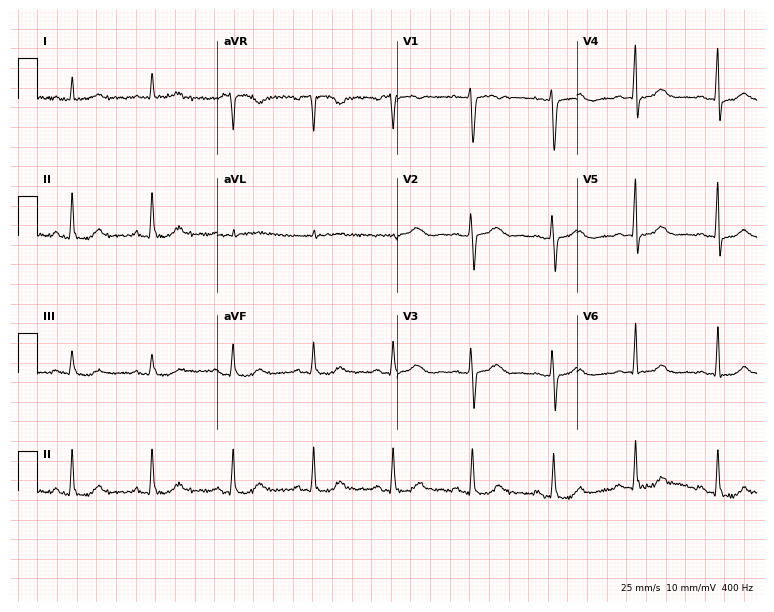
12-lead ECG (7.3-second recording at 400 Hz) from a female, 52 years old. Screened for six findings — first-degree AV block, right bundle branch block, left bundle branch block, sinus bradycardia, atrial fibrillation, sinus tachycardia — none is recorded.